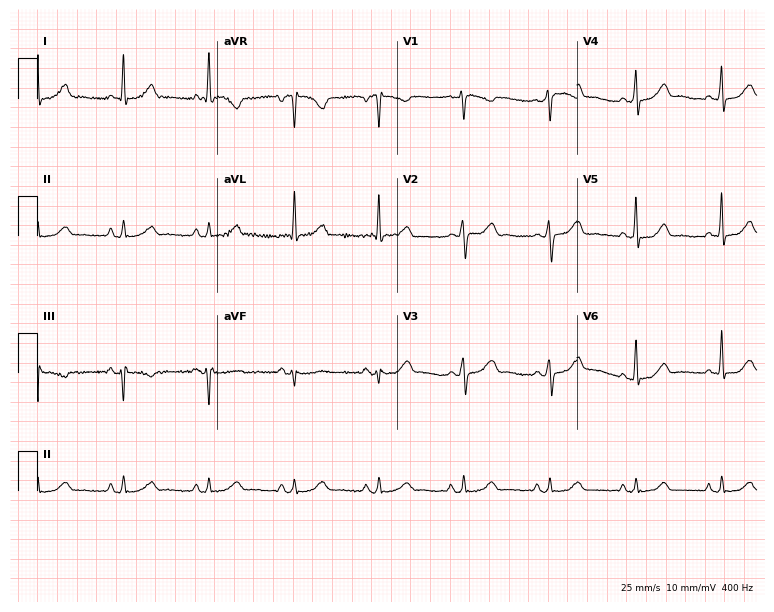
12-lead ECG (7.3-second recording at 400 Hz) from a female, 41 years old. Screened for six findings — first-degree AV block, right bundle branch block (RBBB), left bundle branch block (LBBB), sinus bradycardia, atrial fibrillation (AF), sinus tachycardia — none is recorded.